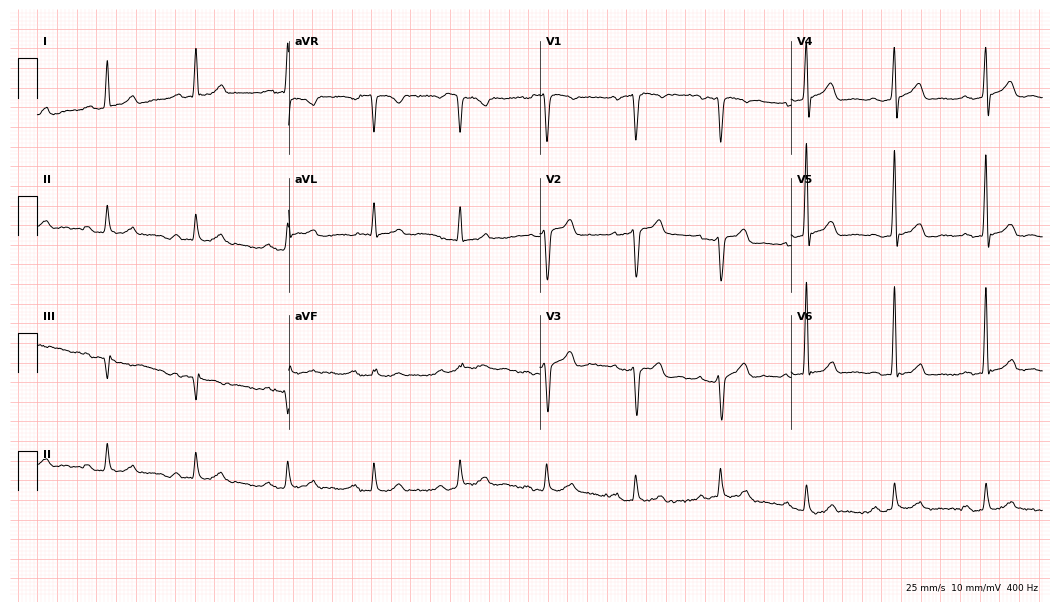
Electrocardiogram, a 47-year-old male patient. Overall reading on record: normal ECG.